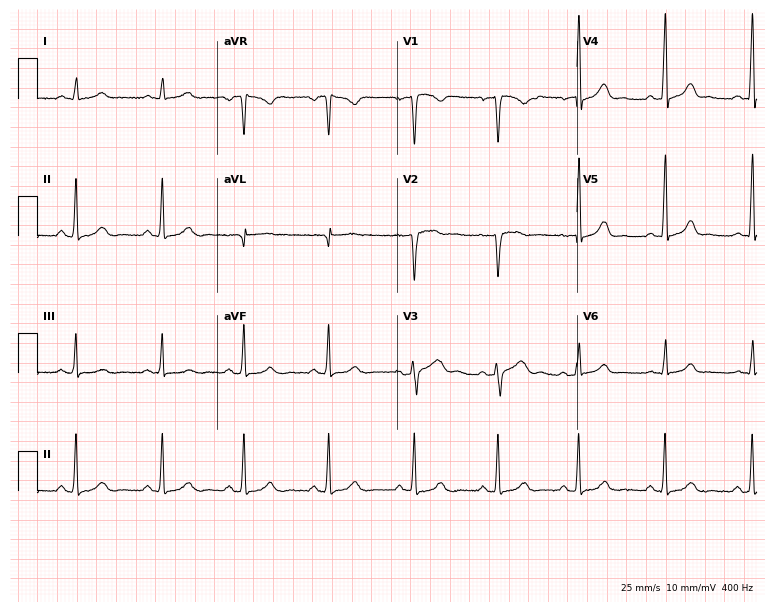
Standard 12-lead ECG recorded from a male patient, 45 years old. Read as a normal ECG.